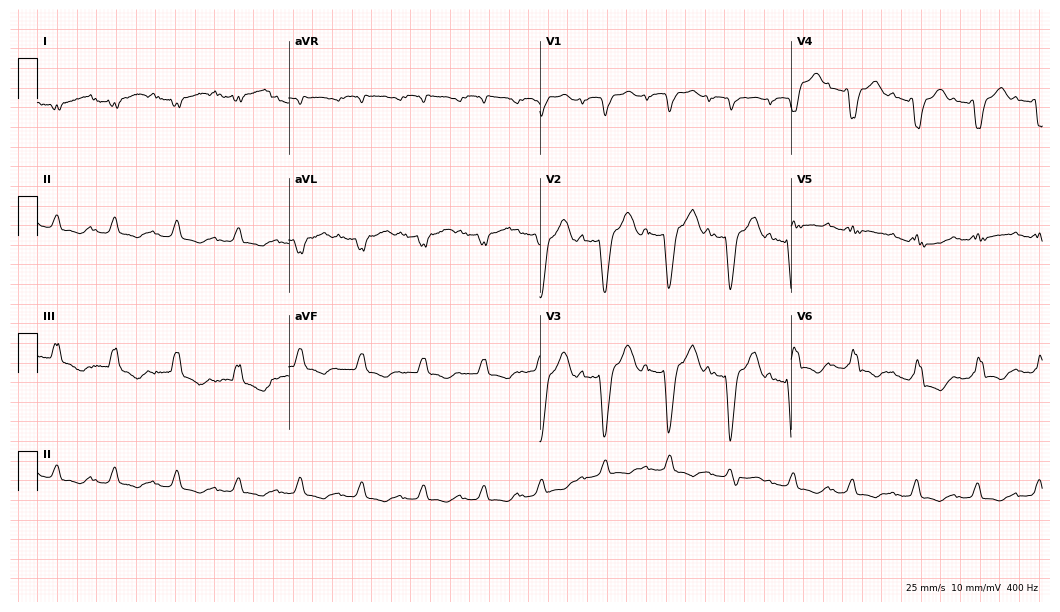
Resting 12-lead electrocardiogram. Patient: a female, 41 years old. The tracing shows first-degree AV block, left bundle branch block.